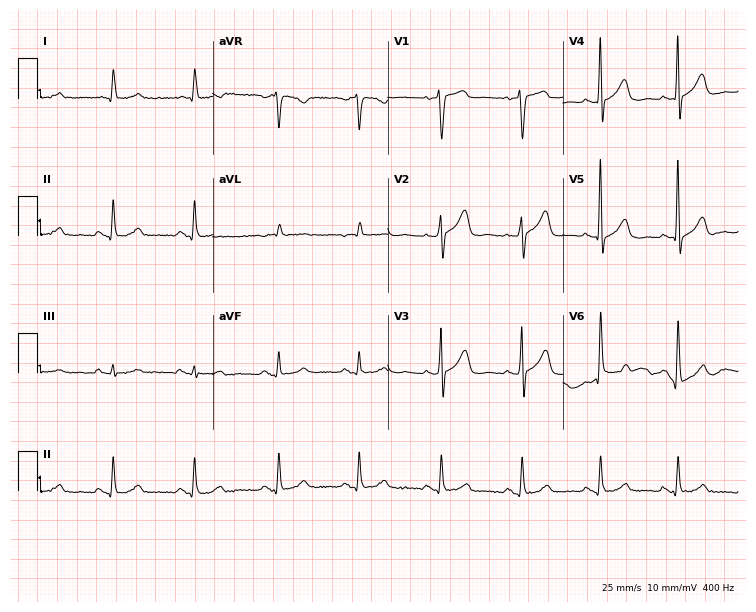
Electrocardiogram (7.1-second recording at 400 Hz), a male, 76 years old. Of the six screened findings (first-degree AV block, right bundle branch block (RBBB), left bundle branch block (LBBB), sinus bradycardia, atrial fibrillation (AF), sinus tachycardia), none is recorded.